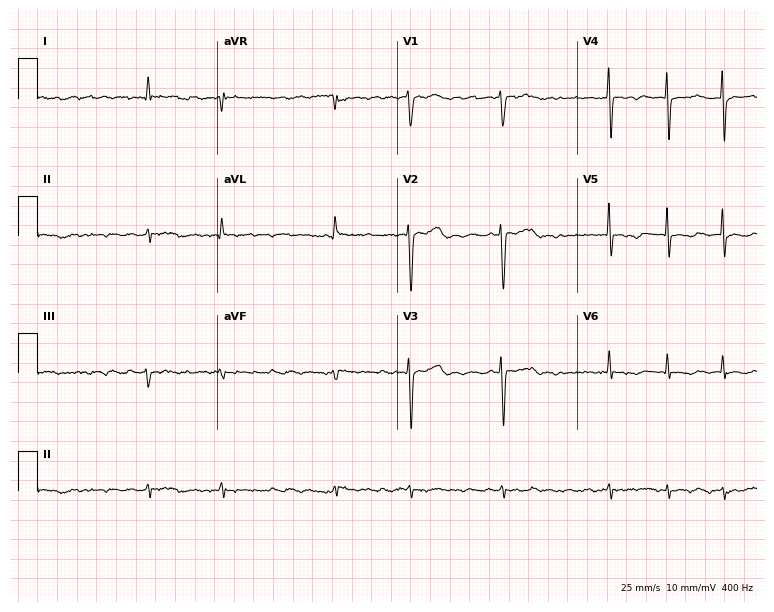
12-lead ECG from an 81-year-old male patient. Findings include atrial fibrillation.